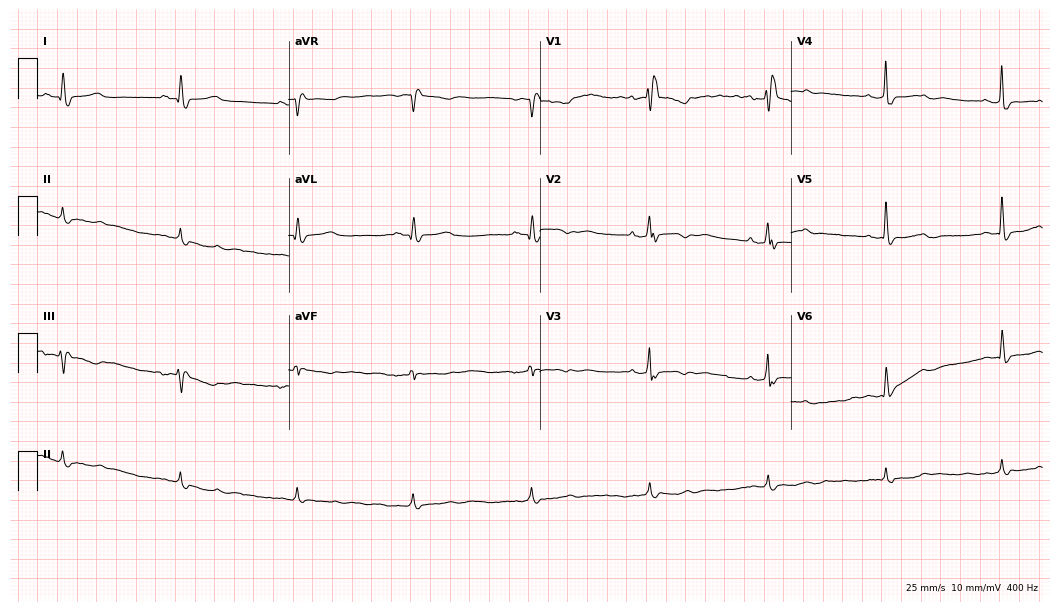
Resting 12-lead electrocardiogram (10.2-second recording at 400 Hz). Patient: a 55-year-old female. The tracing shows right bundle branch block, sinus bradycardia (a sinus rate of 50 beats per minute or less).